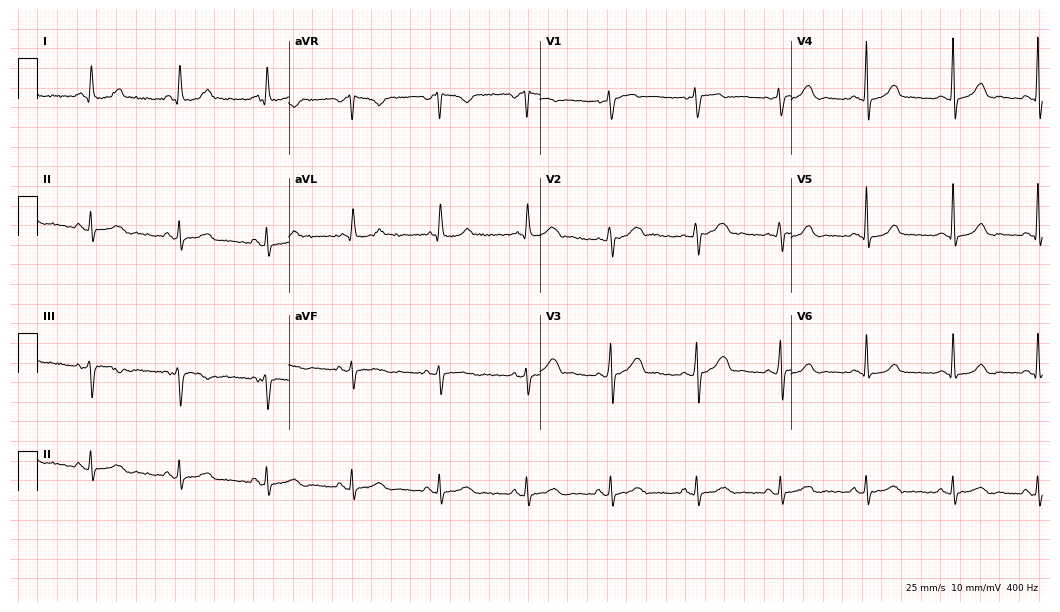
ECG (10.2-second recording at 400 Hz) — a 40-year-old woman. Screened for six findings — first-degree AV block, right bundle branch block, left bundle branch block, sinus bradycardia, atrial fibrillation, sinus tachycardia — none is recorded. Only these six findings were labelled.